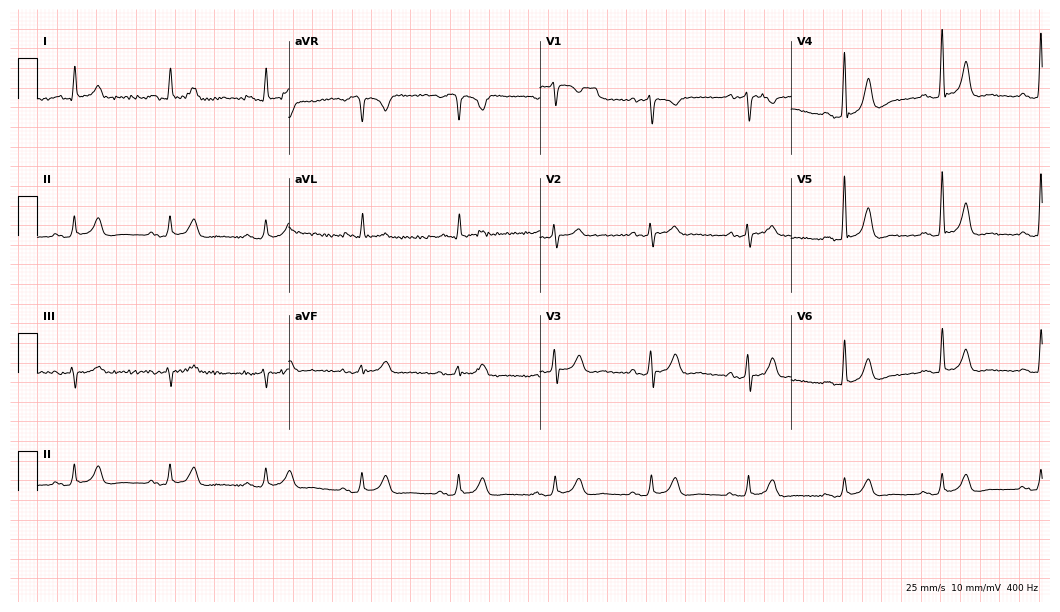
ECG — a male, 70 years old. Screened for six findings — first-degree AV block, right bundle branch block, left bundle branch block, sinus bradycardia, atrial fibrillation, sinus tachycardia — none is recorded.